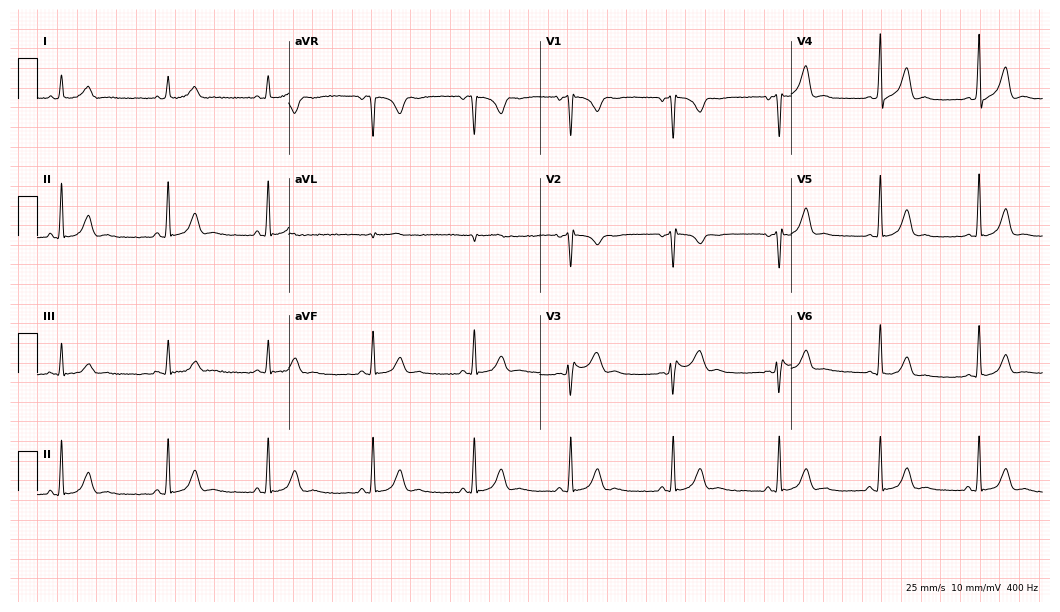
Electrocardiogram (10.2-second recording at 400 Hz), a 29-year-old woman. Overall reading on record: normal ECG.